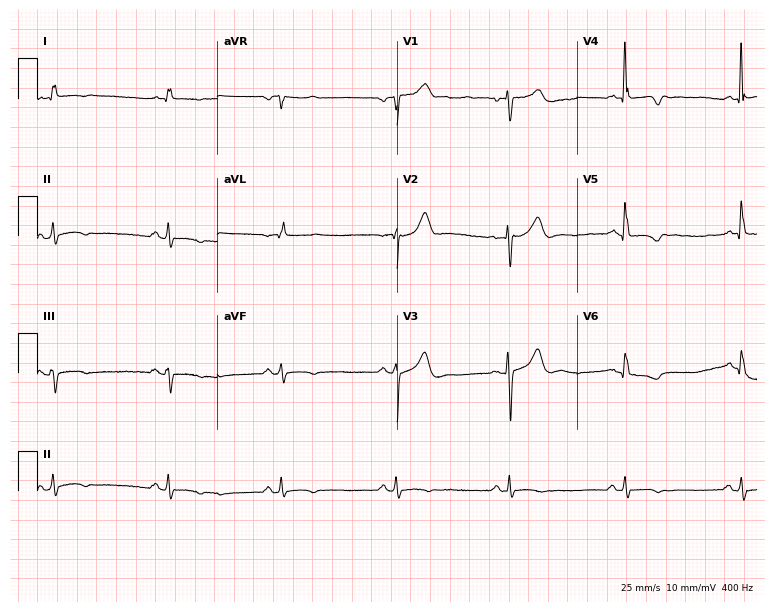
ECG (7.3-second recording at 400 Hz) — a 74-year-old woman. Screened for six findings — first-degree AV block, right bundle branch block (RBBB), left bundle branch block (LBBB), sinus bradycardia, atrial fibrillation (AF), sinus tachycardia — none is recorded. Findings outside these six are not listed.